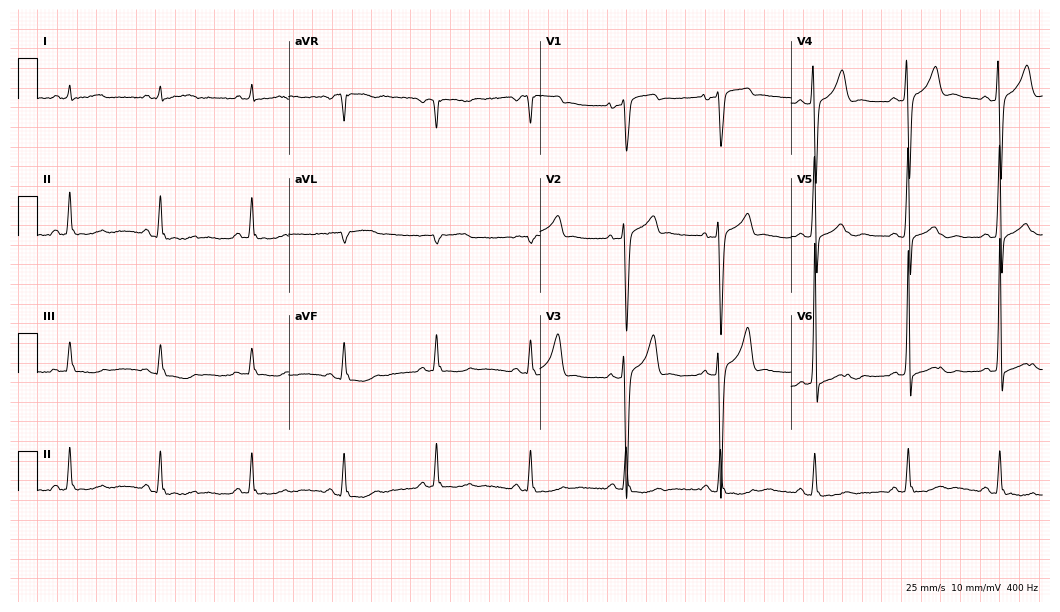
Resting 12-lead electrocardiogram. Patient: a male, 57 years old. None of these six findings is recorded: first-degree AV block, right bundle branch block, left bundle branch block, sinus bradycardia, atrial fibrillation, sinus tachycardia.